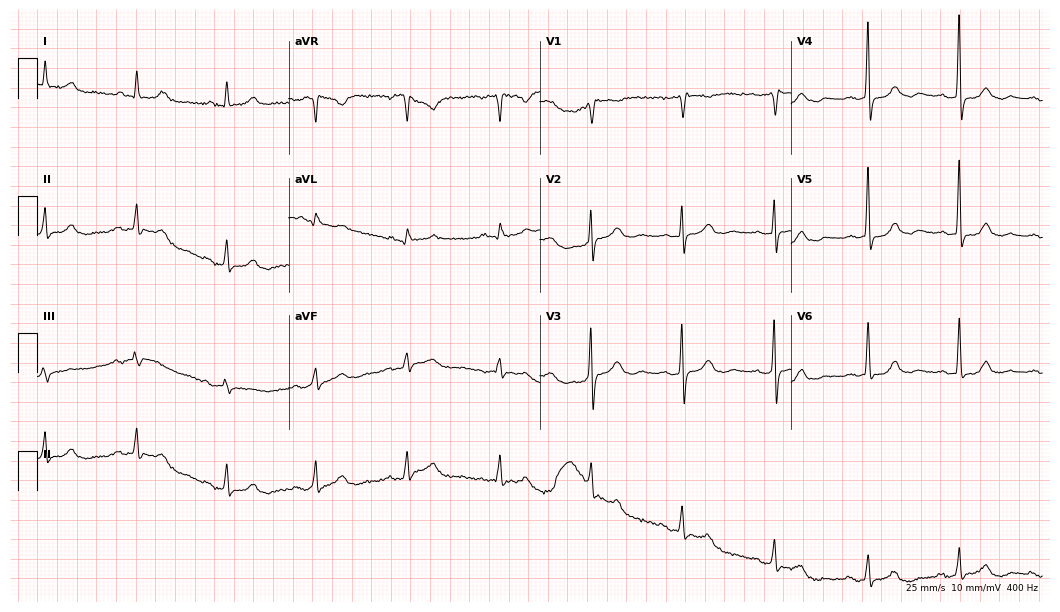
12-lead ECG from a female, 60 years old. No first-degree AV block, right bundle branch block, left bundle branch block, sinus bradycardia, atrial fibrillation or sinus tachycardia recorded for this tracing.